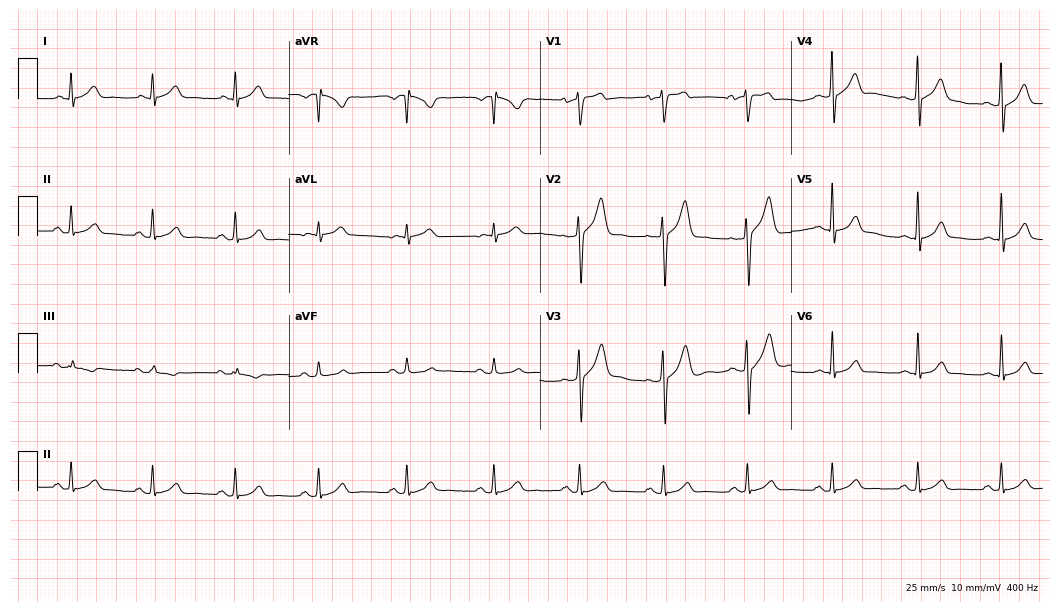
12-lead ECG from a 36-year-old male patient. Screened for six findings — first-degree AV block, right bundle branch block, left bundle branch block, sinus bradycardia, atrial fibrillation, sinus tachycardia — none is recorded. Other findings, if any, are not listed.